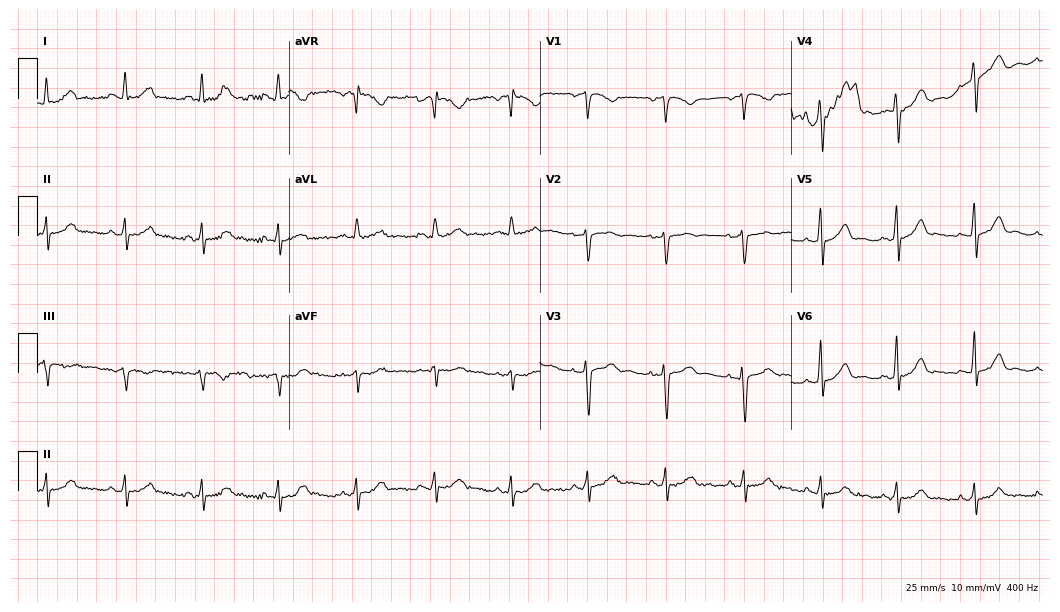
Resting 12-lead electrocardiogram (10.2-second recording at 400 Hz). Patient: a woman, 47 years old. None of these six findings is recorded: first-degree AV block, right bundle branch block (RBBB), left bundle branch block (LBBB), sinus bradycardia, atrial fibrillation (AF), sinus tachycardia. Only these six findings were labelled.